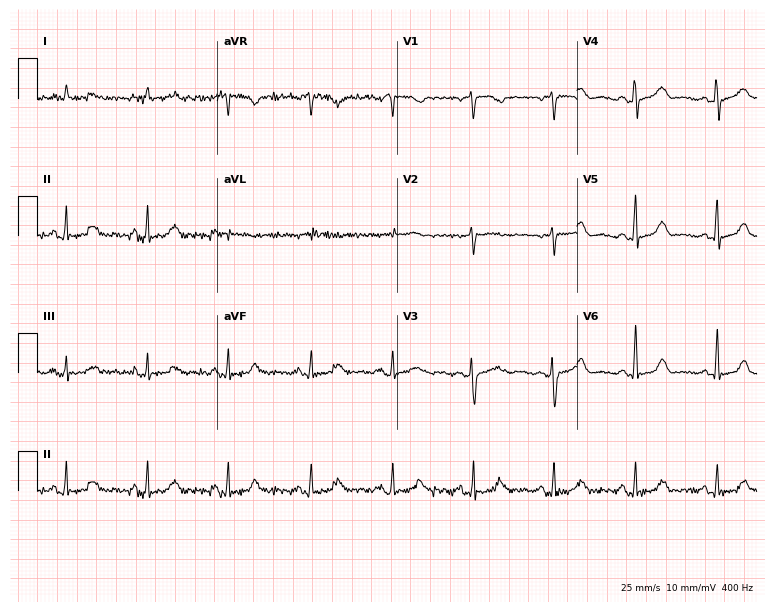
Resting 12-lead electrocardiogram. Patient: a 50-year-old woman. None of these six findings is recorded: first-degree AV block, right bundle branch block (RBBB), left bundle branch block (LBBB), sinus bradycardia, atrial fibrillation (AF), sinus tachycardia. Other findings, if any, are not listed.